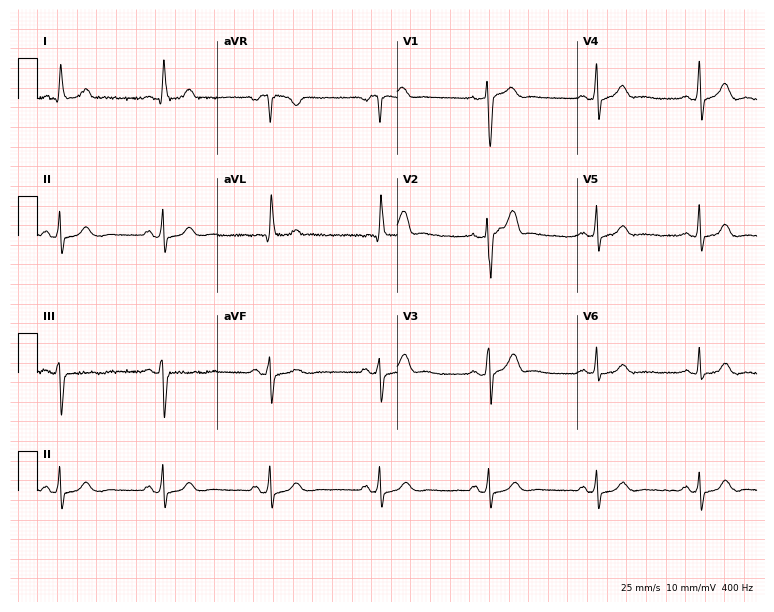
12-lead ECG from a woman, 52 years old (7.3-second recording at 400 Hz). Recorded interpretation: within normal limits.